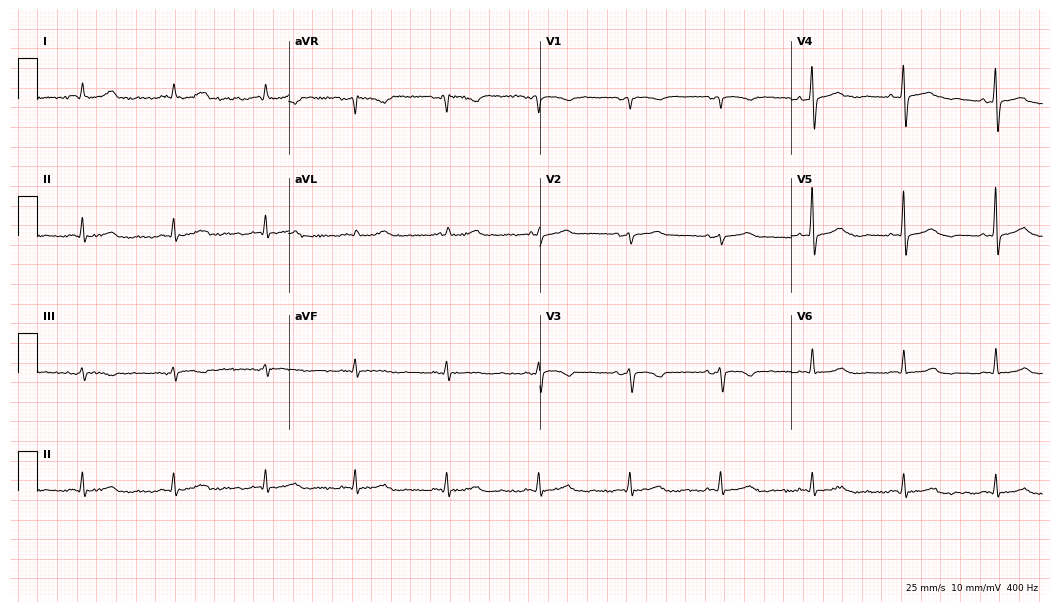
Resting 12-lead electrocardiogram (10.2-second recording at 400 Hz). Patient: a 67-year-old female. None of these six findings is recorded: first-degree AV block, right bundle branch block, left bundle branch block, sinus bradycardia, atrial fibrillation, sinus tachycardia. Findings outside these six are not listed.